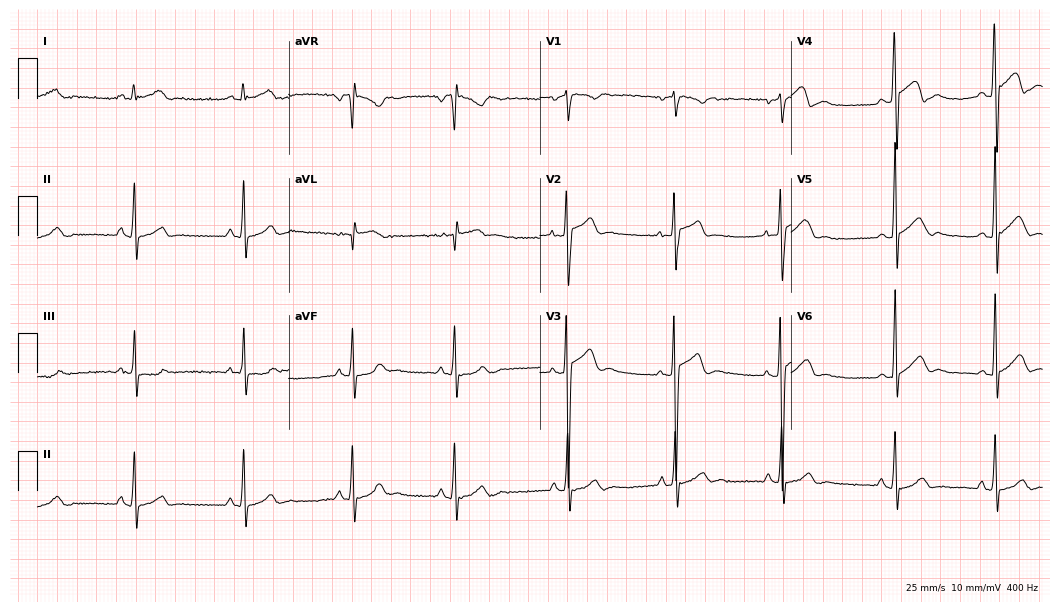
12-lead ECG from a 17-year-old man (10.2-second recording at 400 Hz). Recorded interpretation: within normal limits.